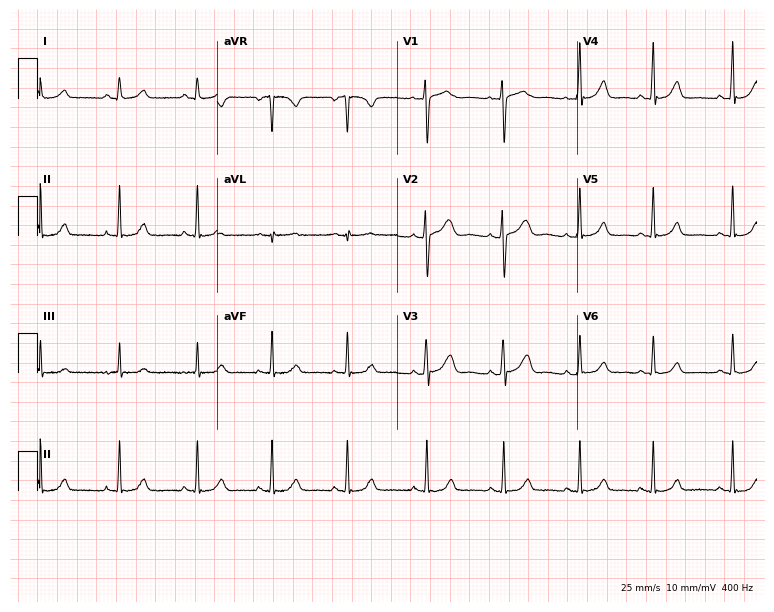
Electrocardiogram, a woman, 24 years old. Of the six screened findings (first-degree AV block, right bundle branch block (RBBB), left bundle branch block (LBBB), sinus bradycardia, atrial fibrillation (AF), sinus tachycardia), none is recorded. Other findings, if any, are not listed.